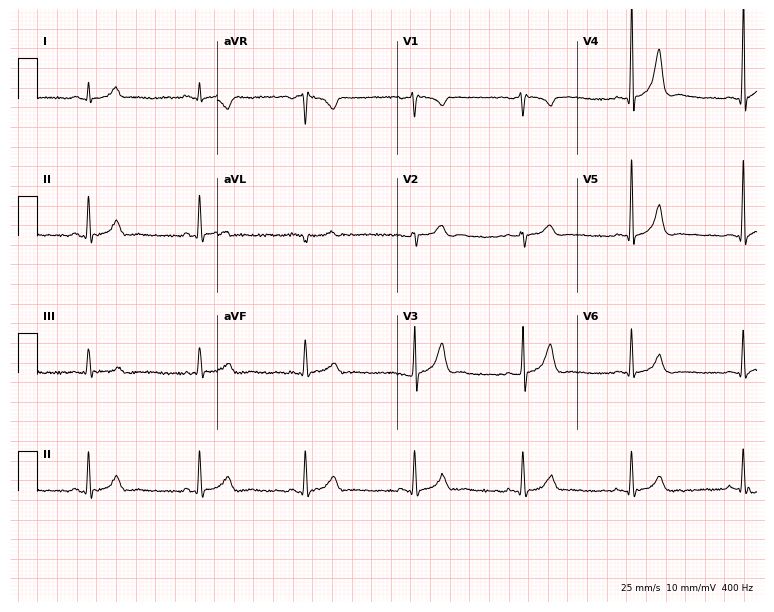
ECG — a 35-year-old man. Labelled as a normal ECG.